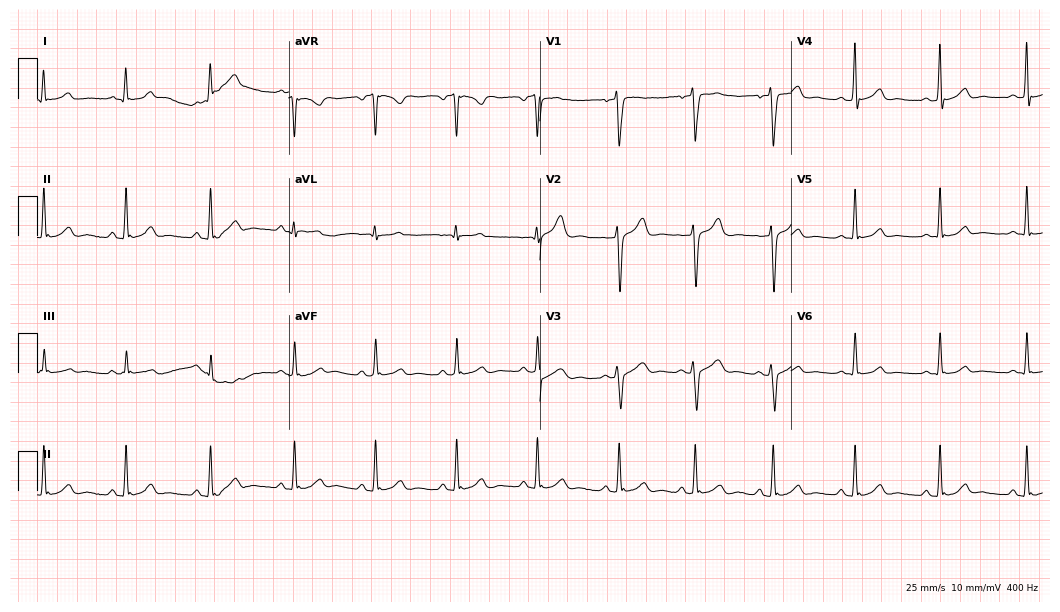
Electrocardiogram, a 21-year-old male patient. Overall reading on record: normal ECG.